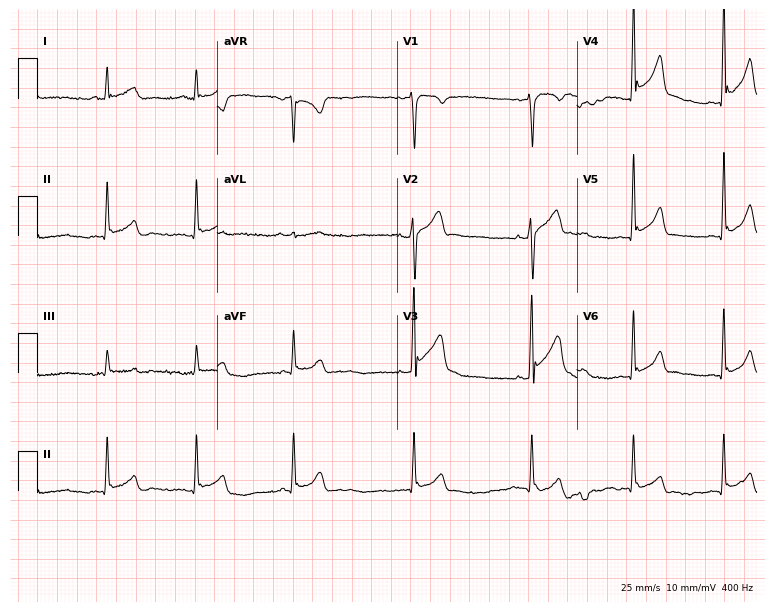
12-lead ECG from a man, 27 years old. Screened for six findings — first-degree AV block, right bundle branch block, left bundle branch block, sinus bradycardia, atrial fibrillation, sinus tachycardia — none is recorded.